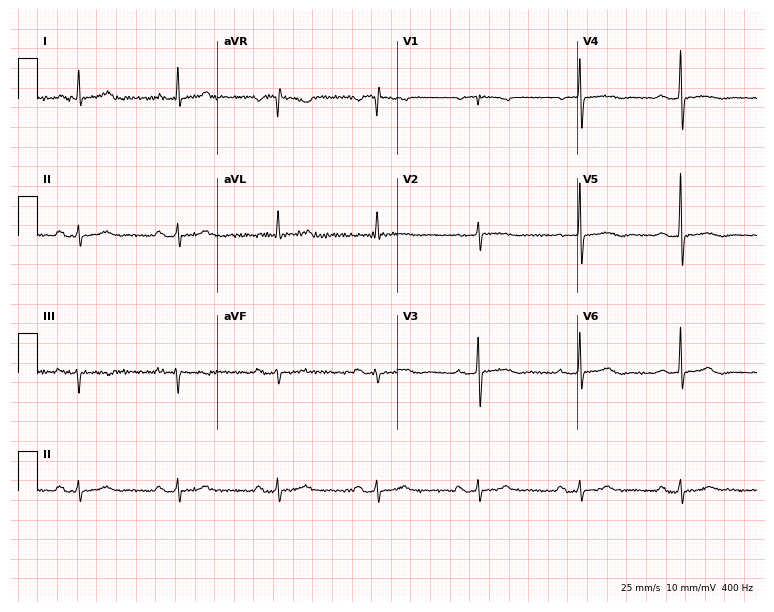
Electrocardiogram, a woman, 73 years old. Overall reading on record: normal ECG.